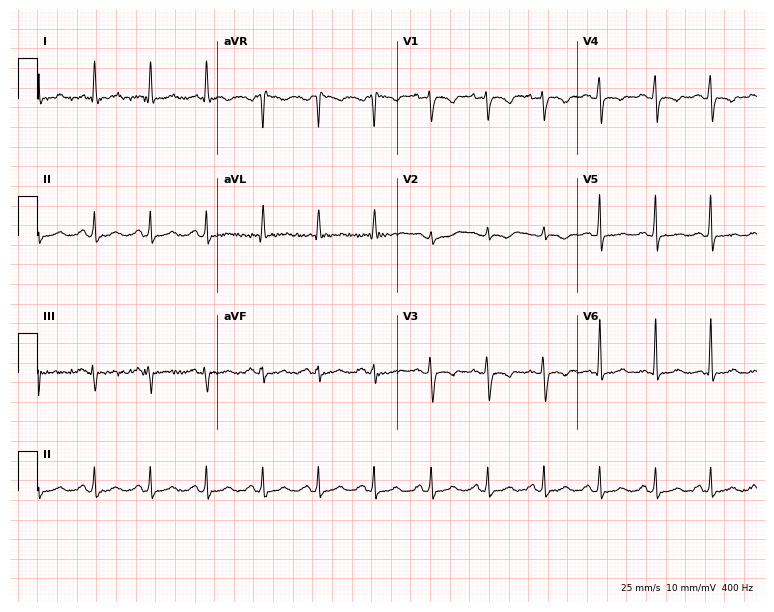
Resting 12-lead electrocardiogram (7.3-second recording at 400 Hz). Patient: a 30-year-old female. The tracing shows sinus tachycardia (a sinus rate of 100 beats per minute or more).